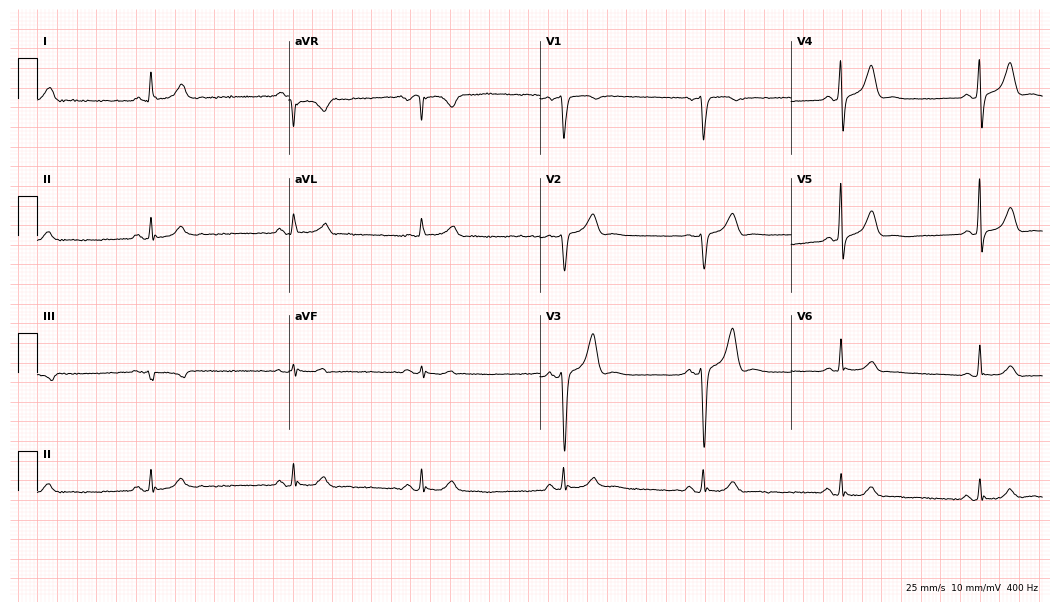
12-lead ECG from a male, 61 years old (10.2-second recording at 400 Hz). Shows sinus bradycardia (a sinus rate of 50 beats per minute or less).